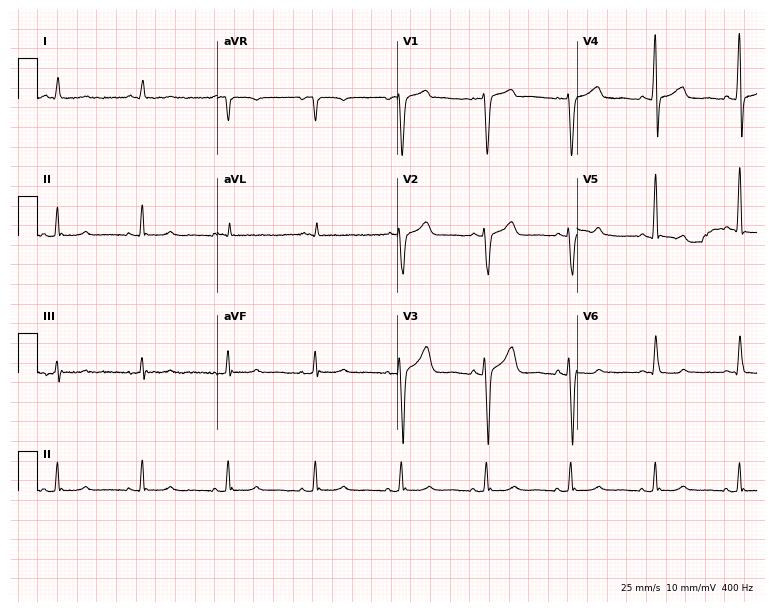
ECG (7.3-second recording at 400 Hz) — an 81-year-old male patient. Screened for six findings — first-degree AV block, right bundle branch block (RBBB), left bundle branch block (LBBB), sinus bradycardia, atrial fibrillation (AF), sinus tachycardia — none is recorded. Only these six findings were labelled.